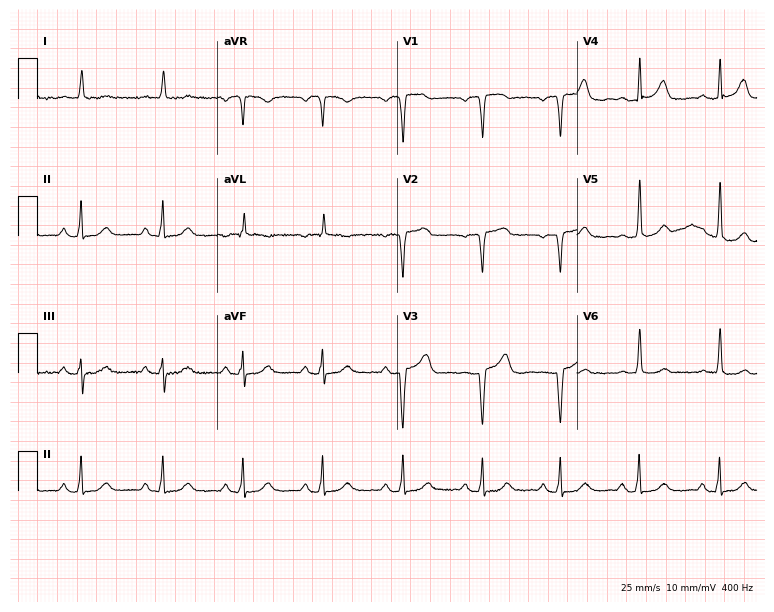
Resting 12-lead electrocardiogram. Patient: a female, 83 years old. None of these six findings is recorded: first-degree AV block, right bundle branch block, left bundle branch block, sinus bradycardia, atrial fibrillation, sinus tachycardia. Findings outside these six are not listed.